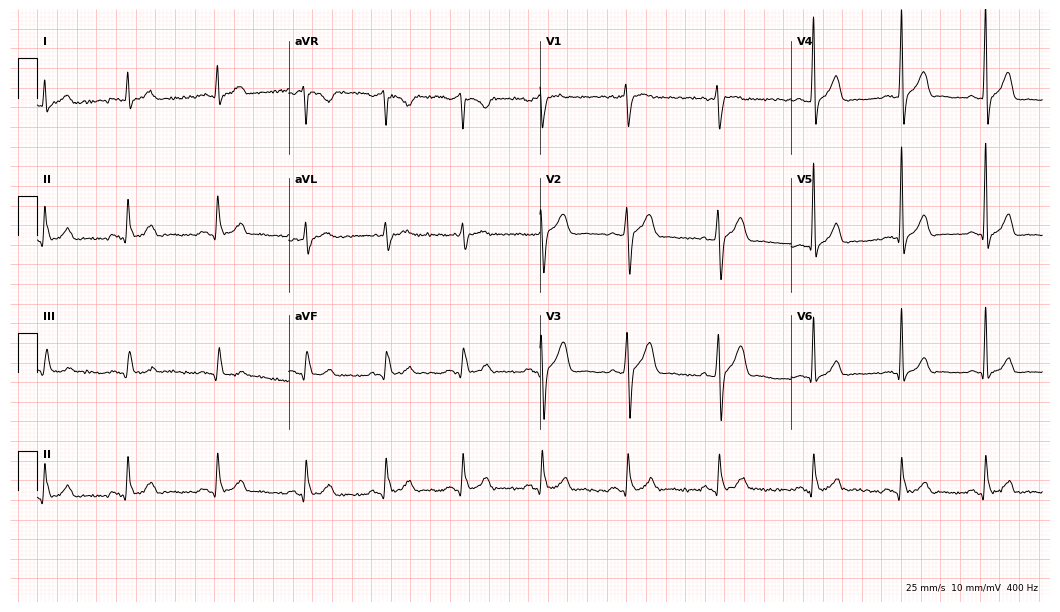
12-lead ECG from a 40-year-old male patient. Screened for six findings — first-degree AV block, right bundle branch block (RBBB), left bundle branch block (LBBB), sinus bradycardia, atrial fibrillation (AF), sinus tachycardia — none is recorded. Findings outside these six are not listed.